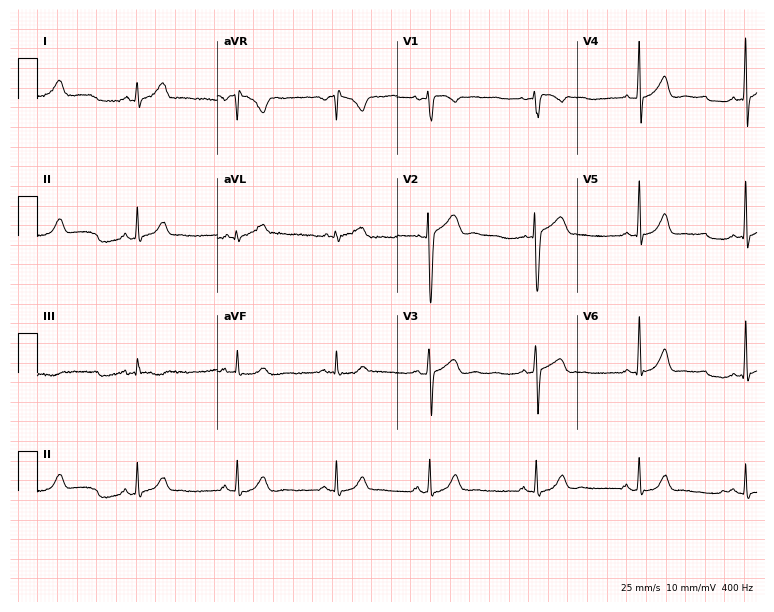
Standard 12-lead ECG recorded from an 18-year-old man (7.3-second recording at 400 Hz). Read as a normal ECG.